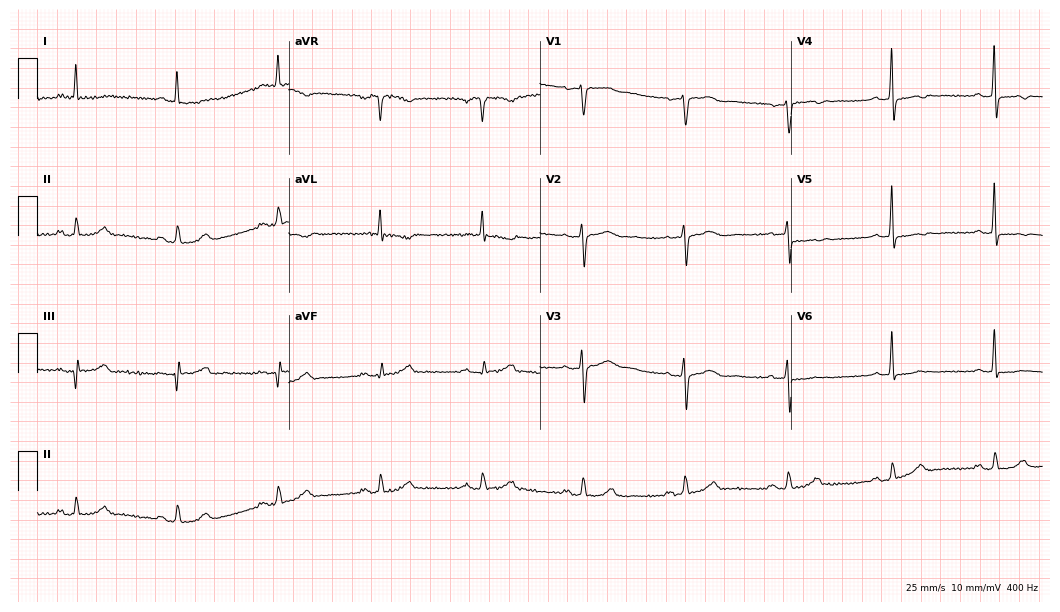
Electrocardiogram (10.2-second recording at 400 Hz), a female patient, 77 years old. Of the six screened findings (first-degree AV block, right bundle branch block (RBBB), left bundle branch block (LBBB), sinus bradycardia, atrial fibrillation (AF), sinus tachycardia), none is recorded.